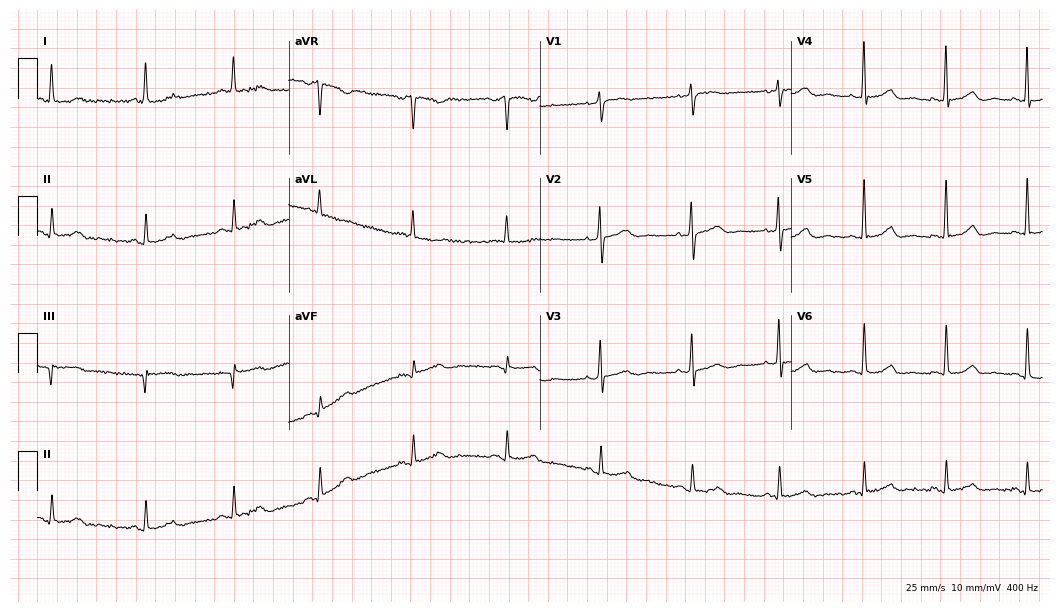
12-lead ECG from a 62-year-old female (10.2-second recording at 400 Hz). No first-degree AV block, right bundle branch block, left bundle branch block, sinus bradycardia, atrial fibrillation or sinus tachycardia recorded for this tracing. Findings outside these six are not listed.